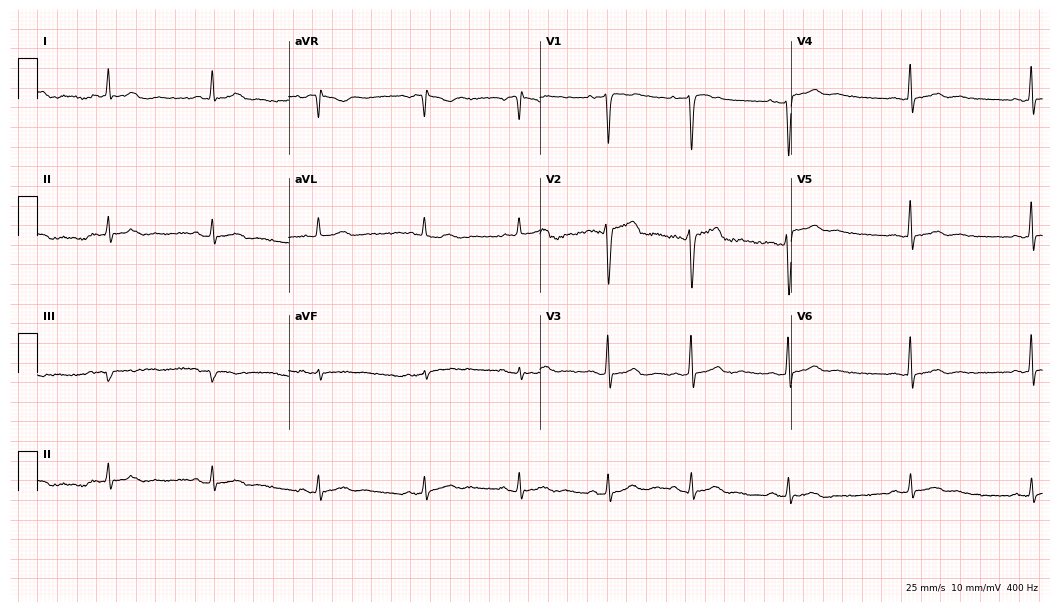
Standard 12-lead ECG recorded from a male patient, 44 years old. Read as a normal ECG.